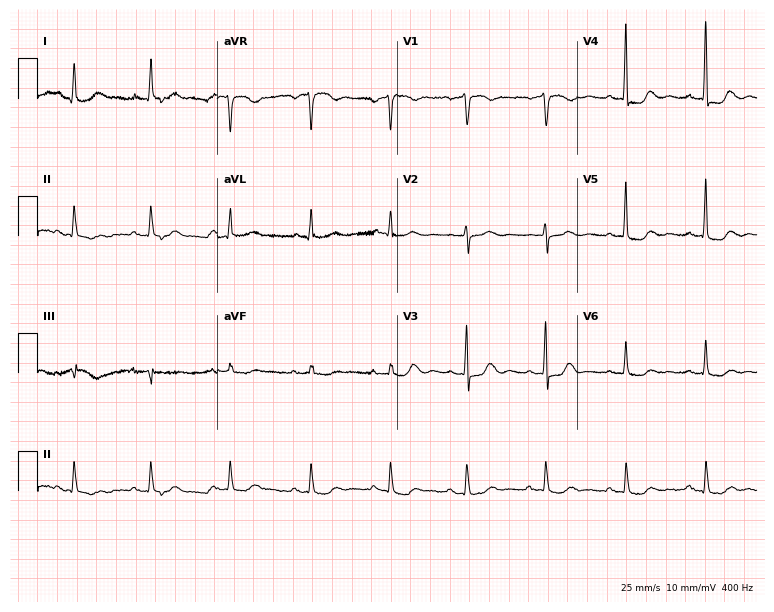
Electrocardiogram (7.3-second recording at 400 Hz), a male patient, 62 years old. Of the six screened findings (first-degree AV block, right bundle branch block (RBBB), left bundle branch block (LBBB), sinus bradycardia, atrial fibrillation (AF), sinus tachycardia), none is recorded.